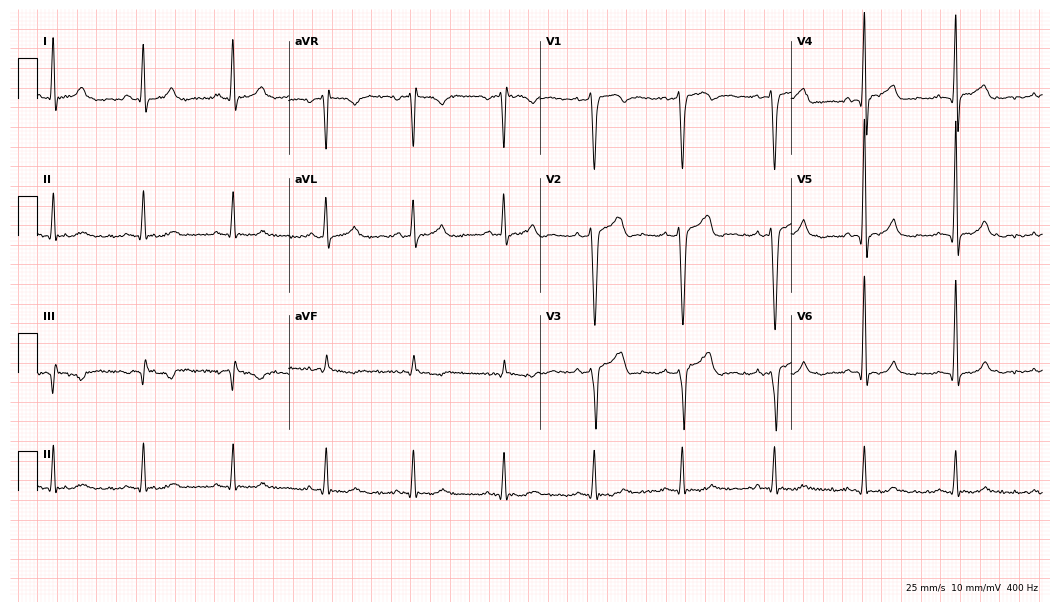
ECG (10.2-second recording at 400 Hz) — a male, 38 years old. Screened for six findings — first-degree AV block, right bundle branch block, left bundle branch block, sinus bradycardia, atrial fibrillation, sinus tachycardia — none is recorded. Other findings, if any, are not listed.